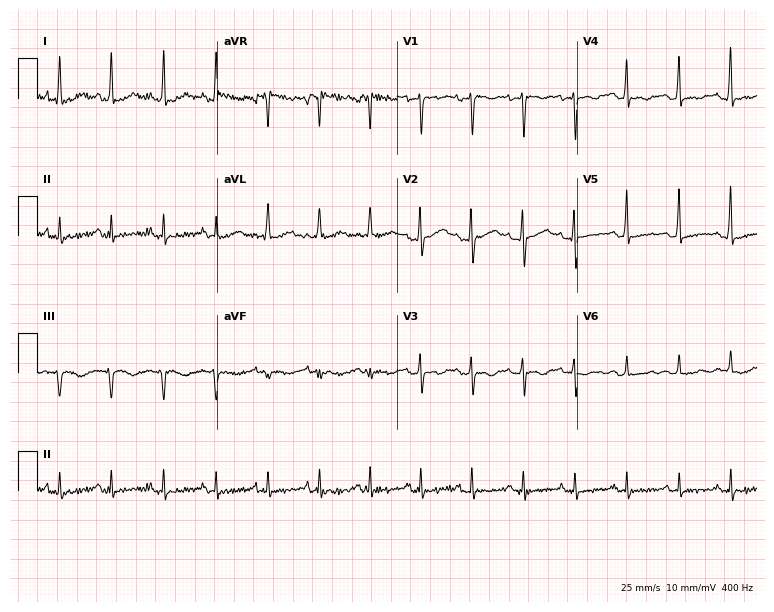
12-lead ECG from a 19-year-old female. Shows sinus tachycardia (a sinus rate of 100 beats per minute or more).